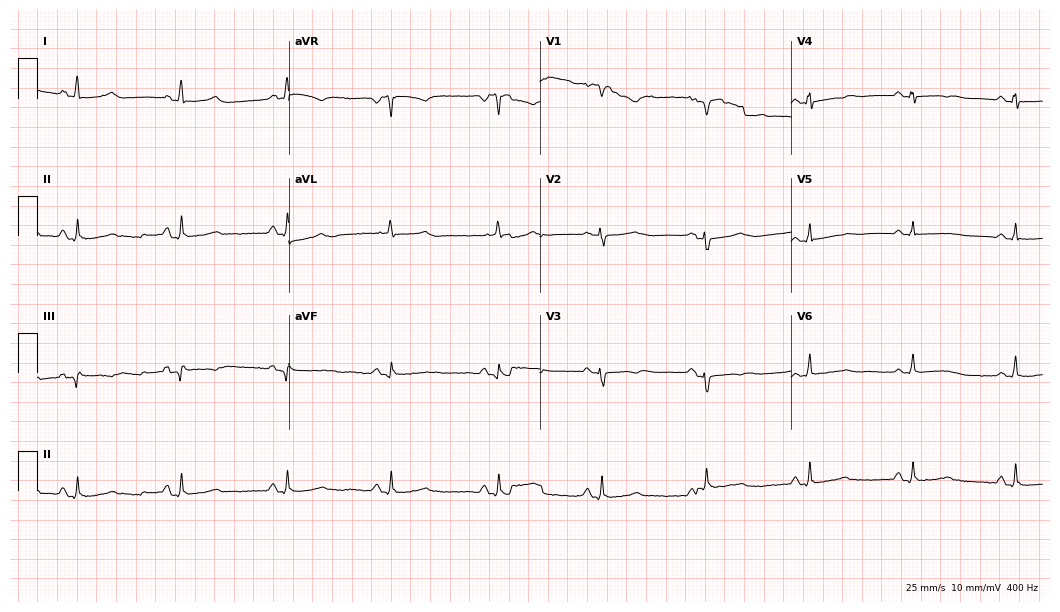
ECG — a 71-year-old female patient. Screened for six findings — first-degree AV block, right bundle branch block, left bundle branch block, sinus bradycardia, atrial fibrillation, sinus tachycardia — none is recorded.